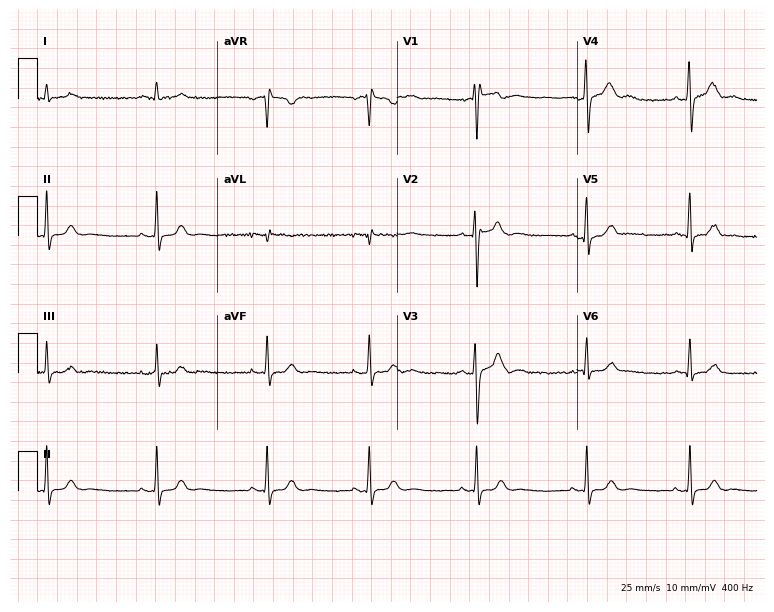
12-lead ECG from a 34-year-old male patient. Labelled as a normal ECG.